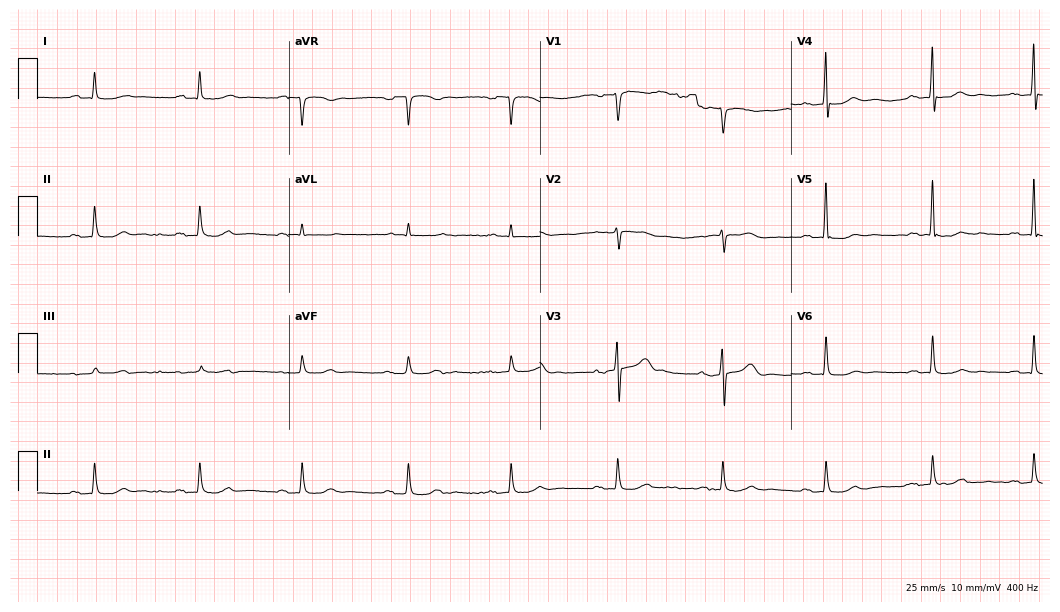
Resting 12-lead electrocardiogram (10.2-second recording at 400 Hz). Patient: a 78-year-old male. The tracing shows first-degree AV block.